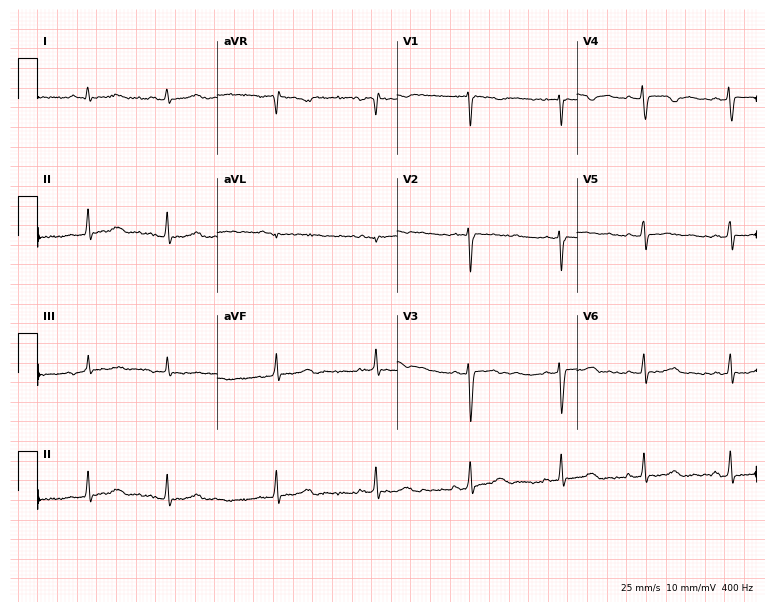
12-lead ECG from a 23-year-old female. No first-degree AV block, right bundle branch block, left bundle branch block, sinus bradycardia, atrial fibrillation or sinus tachycardia recorded for this tracing.